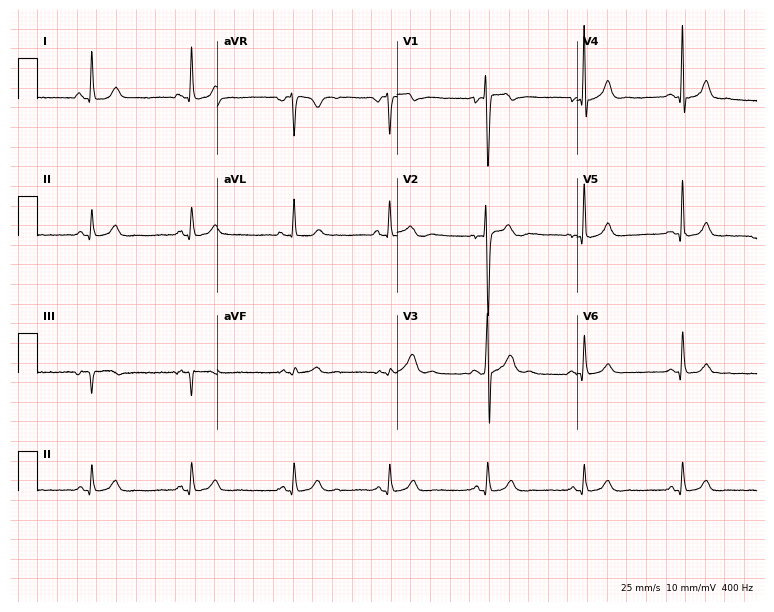
ECG (7.3-second recording at 400 Hz) — a male patient, 19 years old. Labelled as a normal ECG.